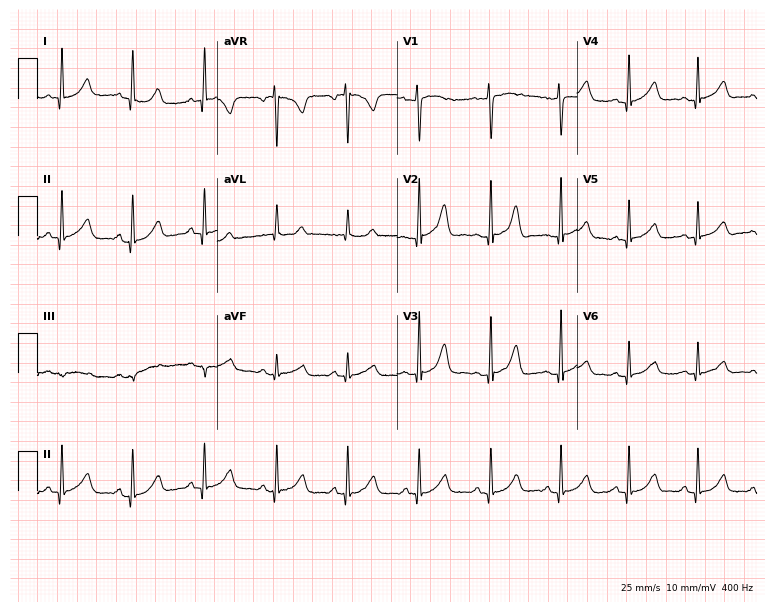
ECG (7.3-second recording at 400 Hz) — a female patient, 42 years old. Labelled as a normal ECG.